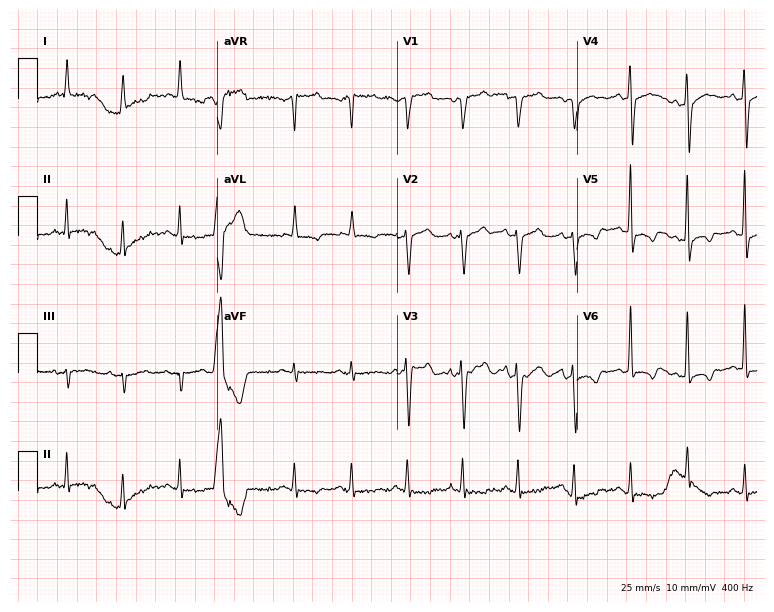
Electrocardiogram, a woman, 79 years old. Interpretation includes sinus tachycardia (a sinus rate of 100 beats per minute or more).